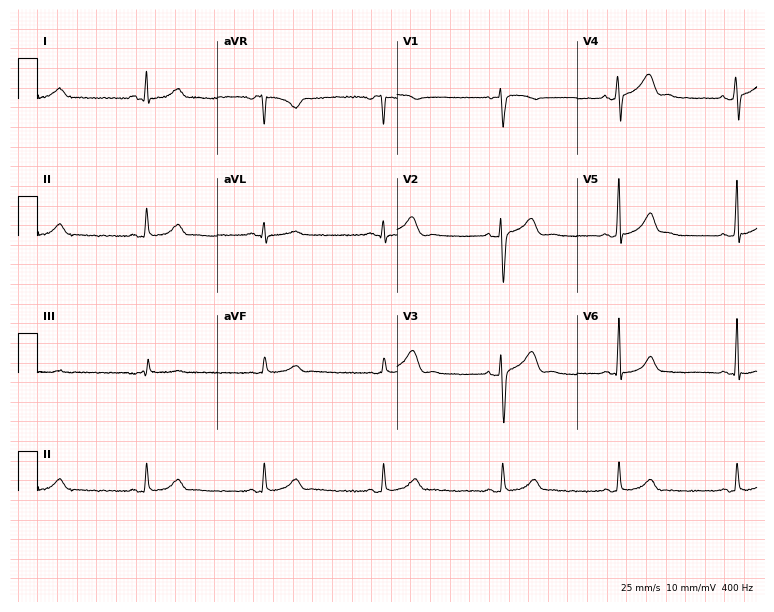
ECG (7.3-second recording at 400 Hz) — a male patient, 39 years old. Labelled as a normal ECG.